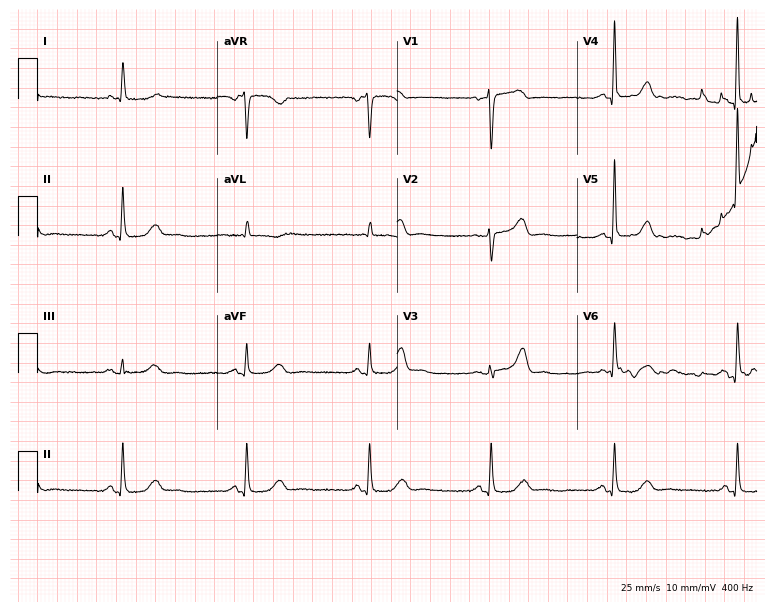
Electrocardiogram (7.3-second recording at 400 Hz), a 65-year-old woman. Interpretation includes sinus bradycardia (a sinus rate of 50 beats per minute or less).